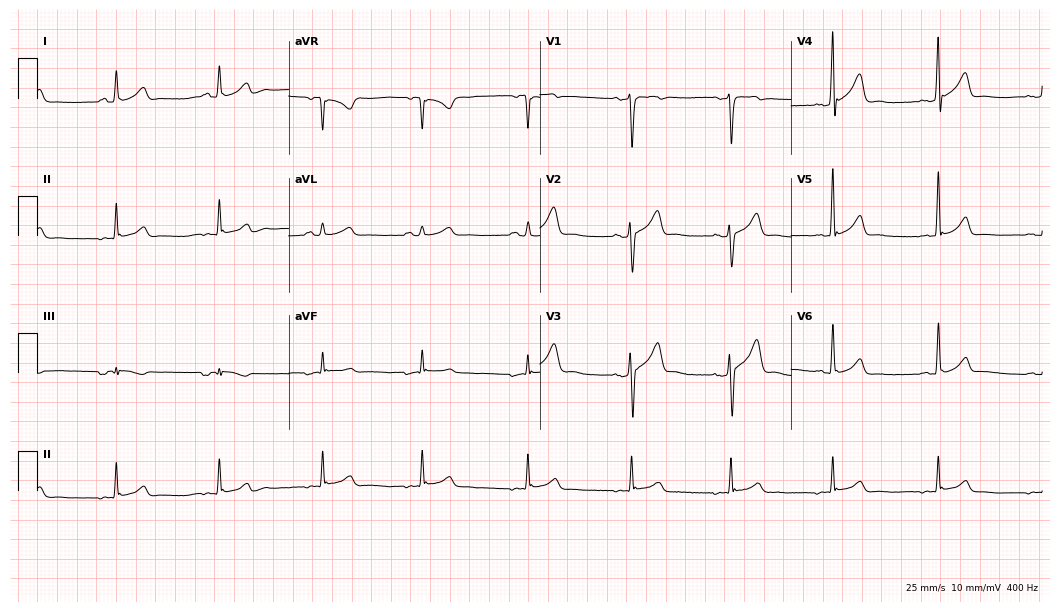
Electrocardiogram, a male patient, 42 years old. Overall reading on record: normal ECG.